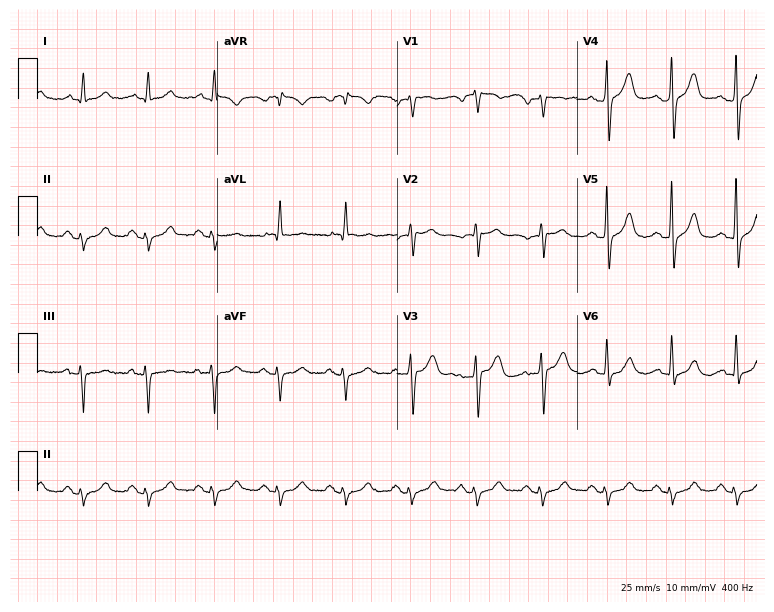
Electrocardiogram (7.3-second recording at 400 Hz), a male, 82 years old. Of the six screened findings (first-degree AV block, right bundle branch block (RBBB), left bundle branch block (LBBB), sinus bradycardia, atrial fibrillation (AF), sinus tachycardia), none is recorded. Findings outside these six are not listed.